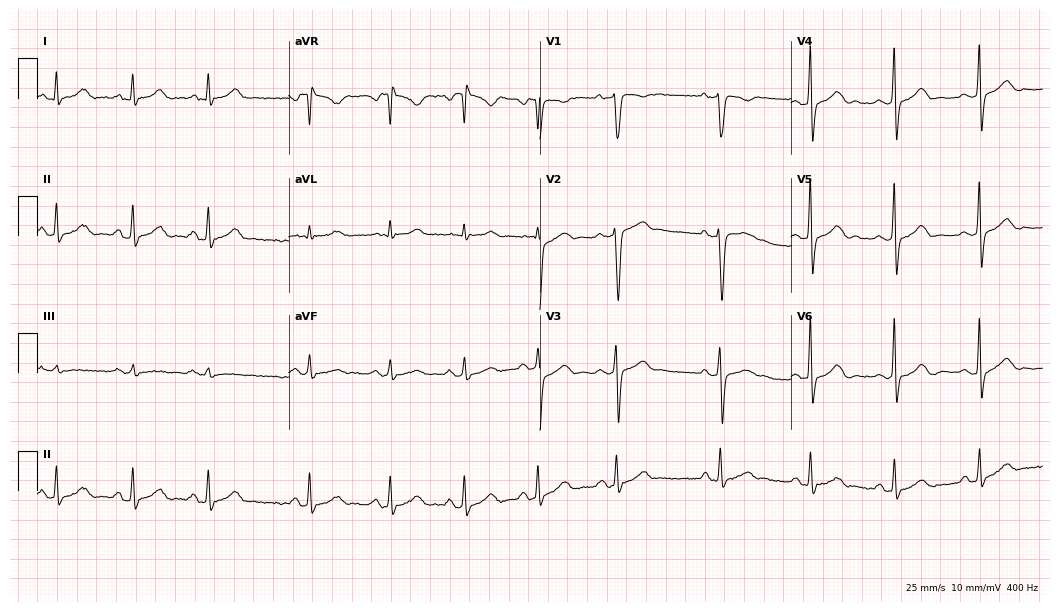
Standard 12-lead ECG recorded from a 36-year-old man (10.2-second recording at 400 Hz). Read as a normal ECG.